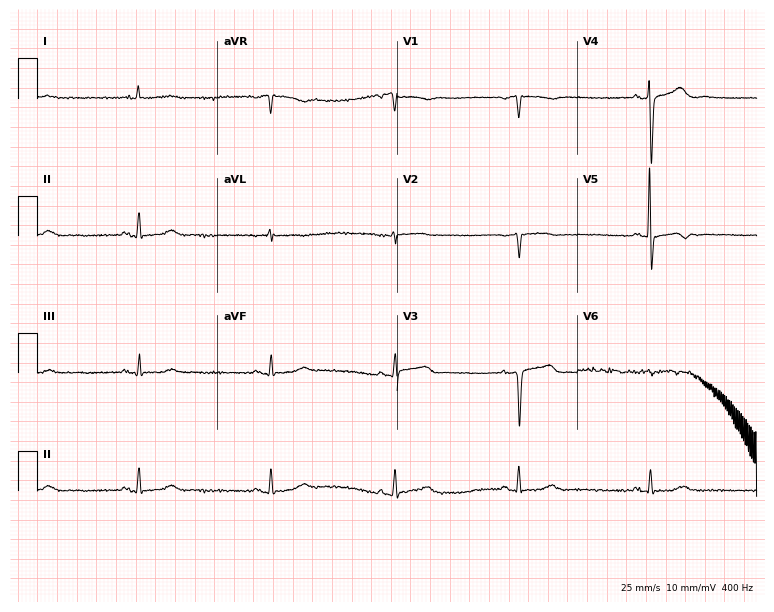
12-lead ECG from a female, 84 years old. Screened for six findings — first-degree AV block, right bundle branch block (RBBB), left bundle branch block (LBBB), sinus bradycardia, atrial fibrillation (AF), sinus tachycardia — none is recorded.